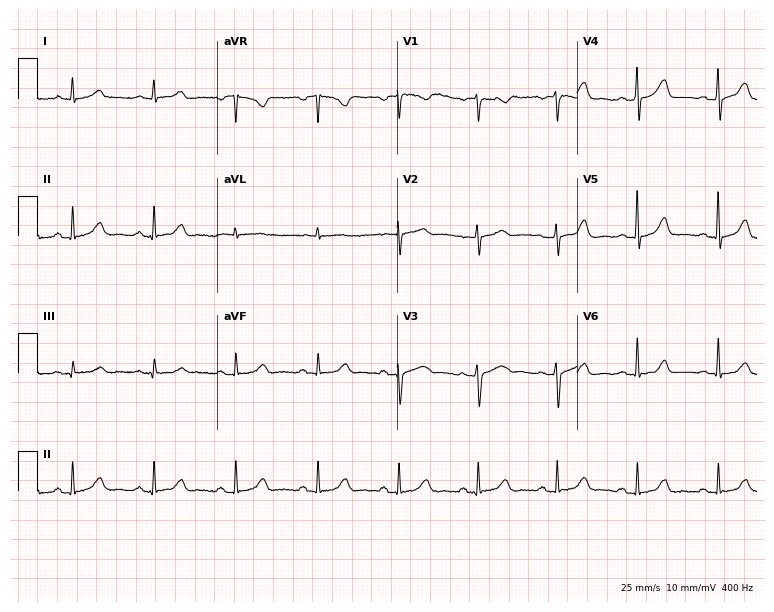
12-lead ECG from a 65-year-old female patient. Labelled as a normal ECG.